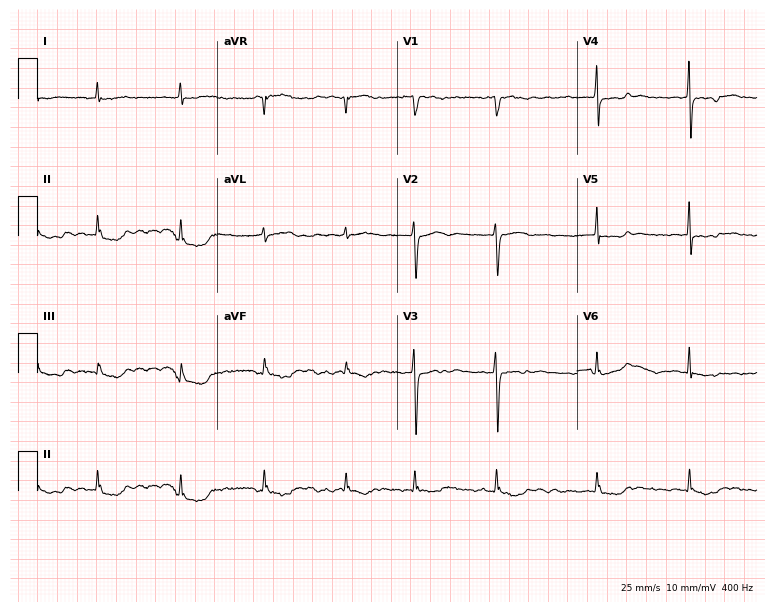
12-lead ECG from a female, 71 years old. Findings include atrial fibrillation.